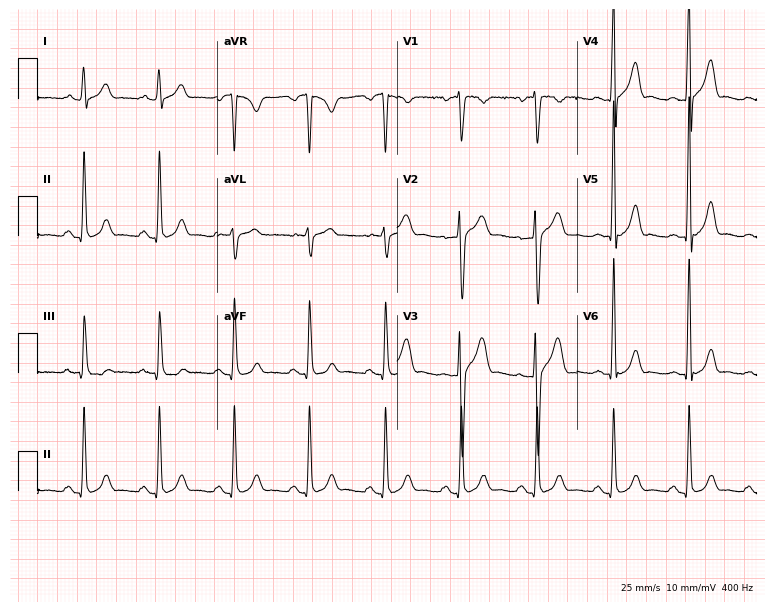
ECG (7.3-second recording at 400 Hz) — a male patient, 37 years old. Labelled as a normal ECG.